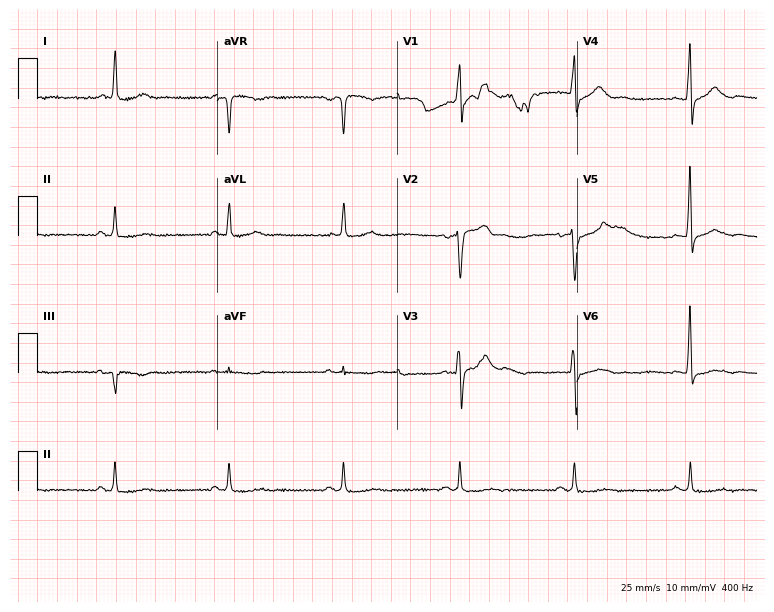
ECG (7.3-second recording at 400 Hz) — a 59-year-old male. Screened for six findings — first-degree AV block, right bundle branch block (RBBB), left bundle branch block (LBBB), sinus bradycardia, atrial fibrillation (AF), sinus tachycardia — none is recorded.